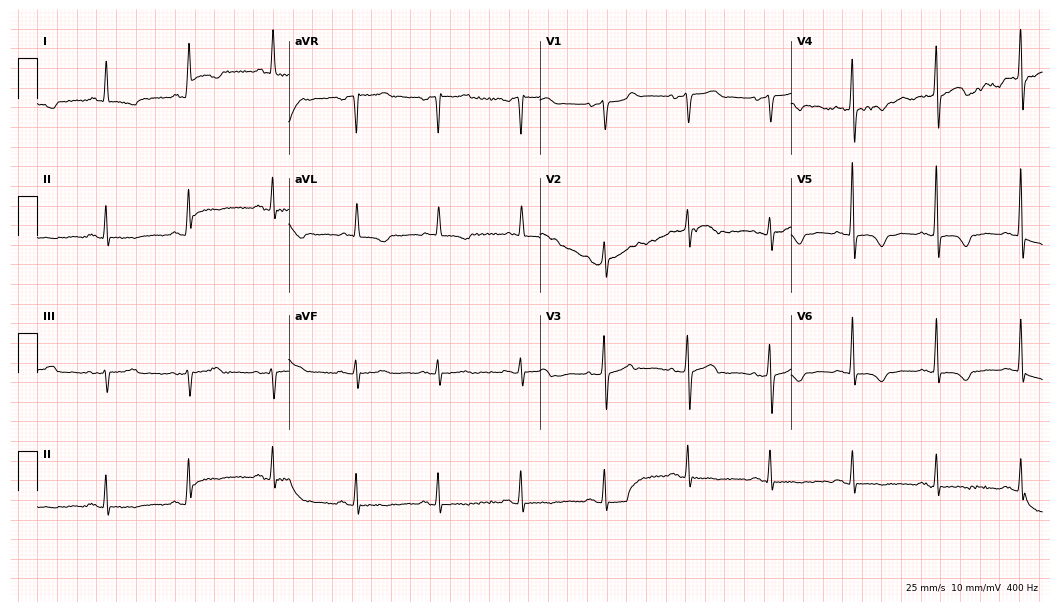
Standard 12-lead ECG recorded from a woman, 77 years old. None of these six findings is recorded: first-degree AV block, right bundle branch block, left bundle branch block, sinus bradycardia, atrial fibrillation, sinus tachycardia. Only these six findings were labelled.